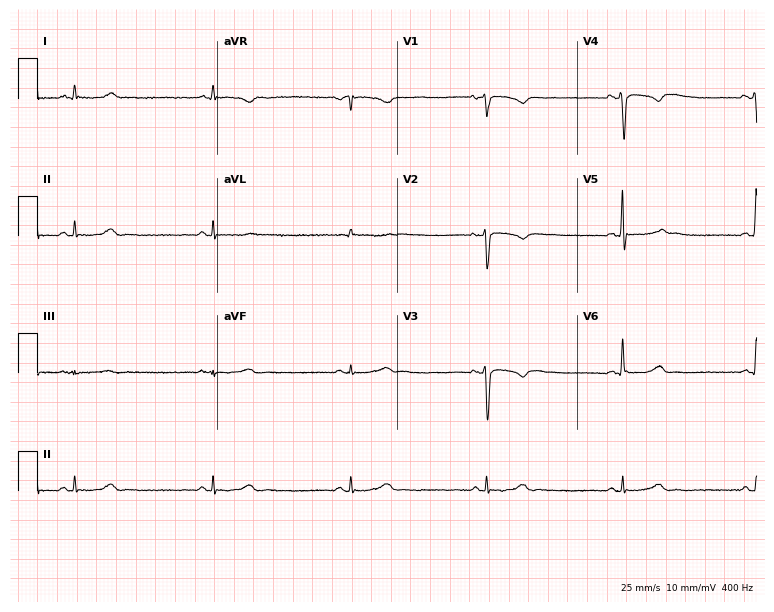
12-lead ECG from a male, 43 years old (7.3-second recording at 400 Hz). Shows sinus bradycardia (a sinus rate of 50 beats per minute or less).